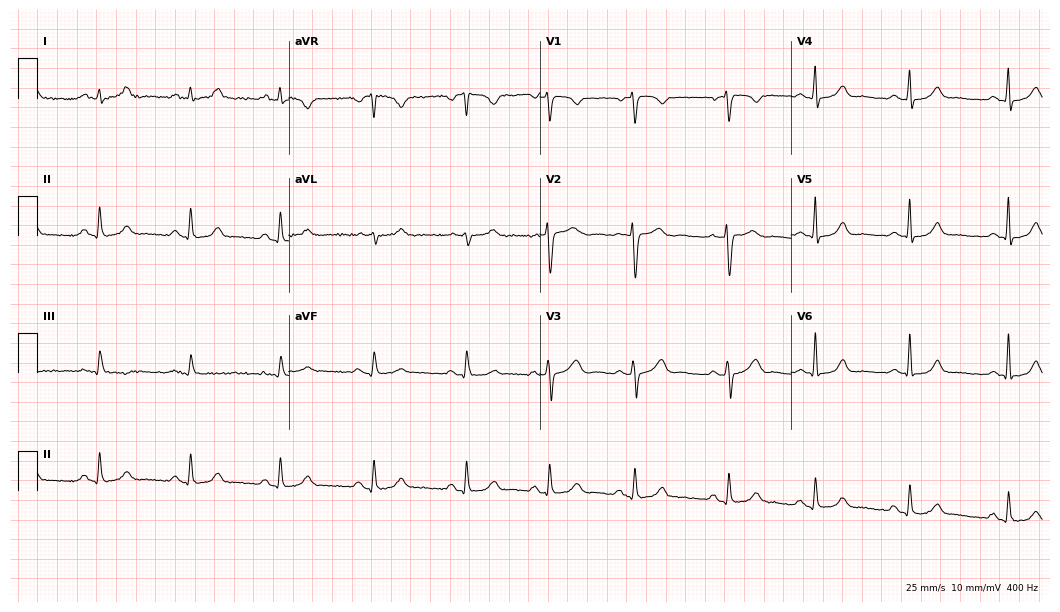
Standard 12-lead ECG recorded from a woman, 33 years old (10.2-second recording at 400 Hz). None of these six findings is recorded: first-degree AV block, right bundle branch block, left bundle branch block, sinus bradycardia, atrial fibrillation, sinus tachycardia. Other findings, if any, are not listed.